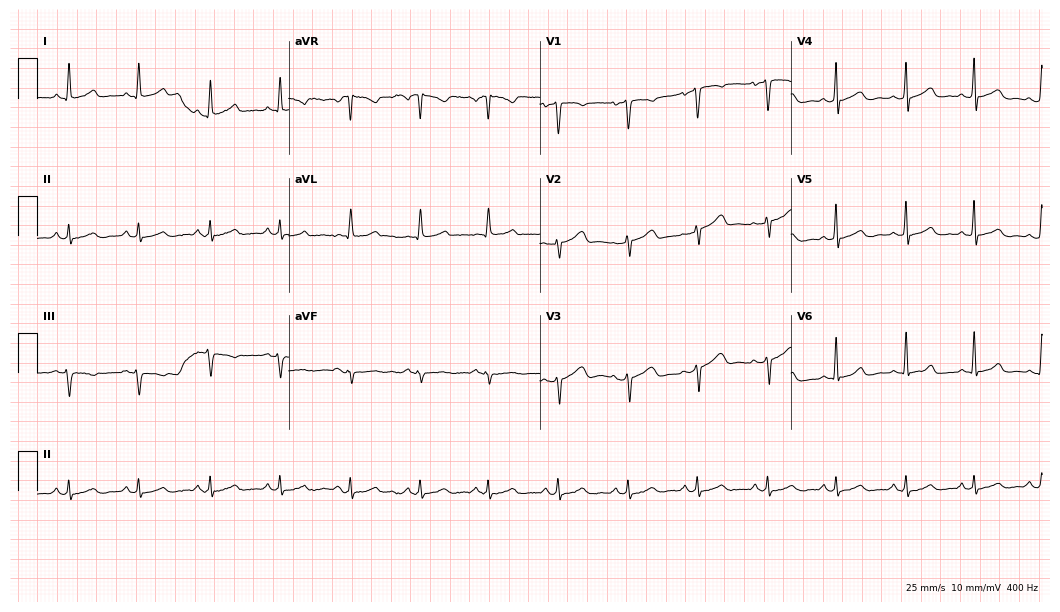
Electrocardiogram (10.2-second recording at 400 Hz), a 38-year-old female patient. Of the six screened findings (first-degree AV block, right bundle branch block, left bundle branch block, sinus bradycardia, atrial fibrillation, sinus tachycardia), none is recorded. Findings outside these six are not listed.